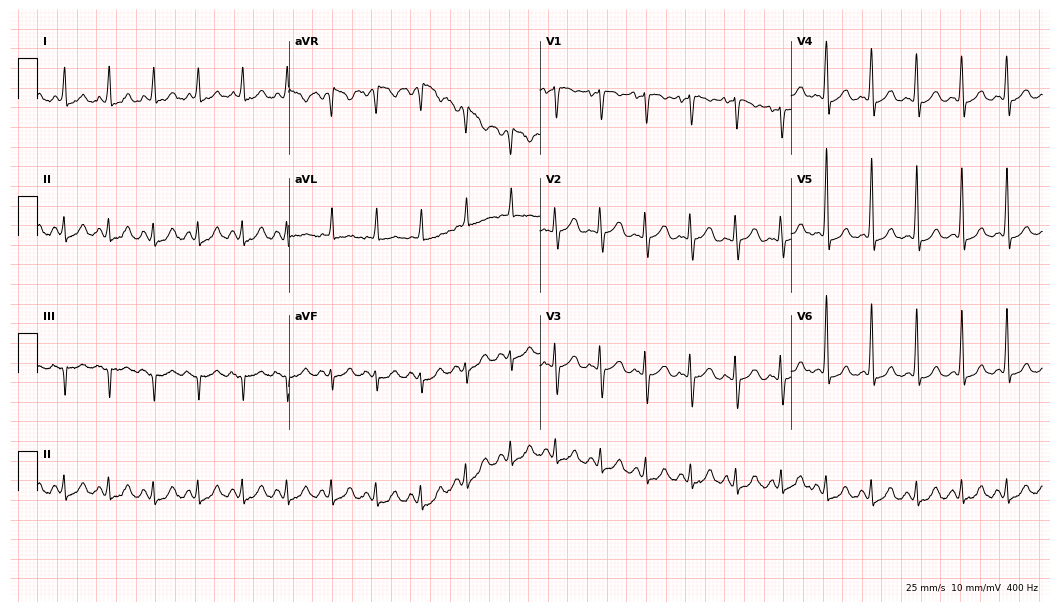
ECG (10.2-second recording at 400 Hz) — a 45-year-old woman. Findings include sinus tachycardia (a sinus rate of 100 beats per minute or more).